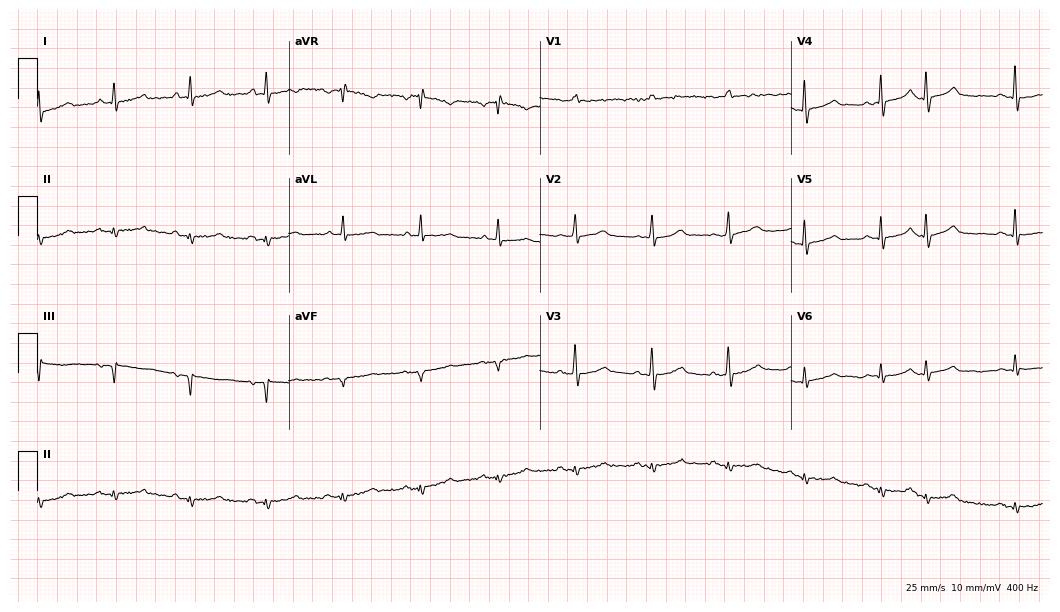
Standard 12-lead ECG recorded from a male, 74 years old (10.2-second recording at 400 Hz). None of these six findings is recorded: first-degree AV block, right bundle branch block, left bundle branch block, sinus bradycardia, atrial fibrillation, sinus tachycardia. Findings outside these six are not listed.